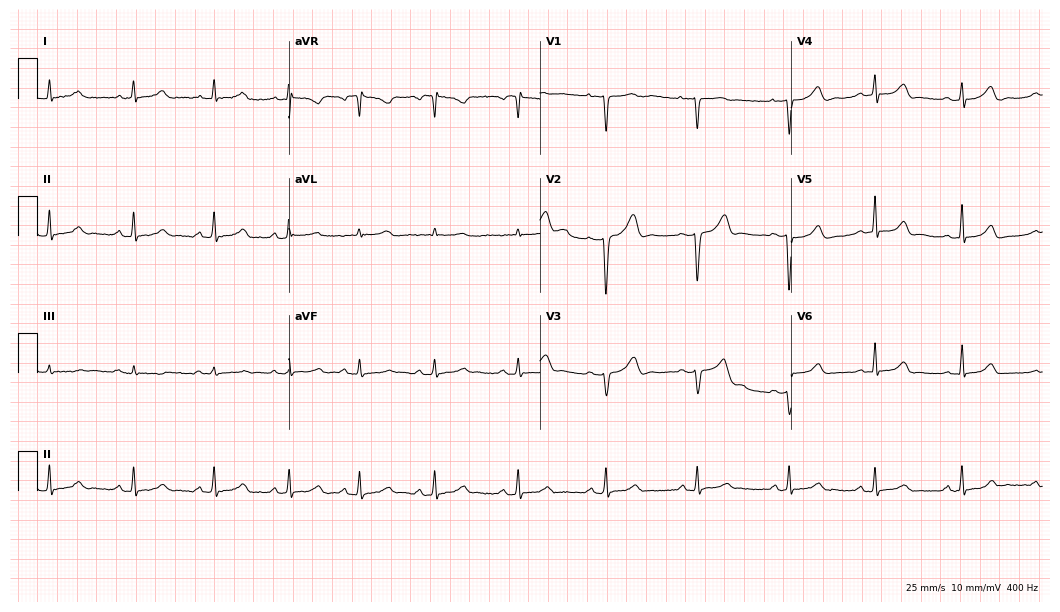
Electrocardiogram (10.2-second recording at 400 Hz), a female, 19 years old. Of the six screened findings (first-degree AV block, right bundle branch block (RBBB), left bundle branch block (LBBB), sinus bradycardia, atrial fibrillation (AF), sinus tachycardia), none is recorded. Only these six findings were labelled.